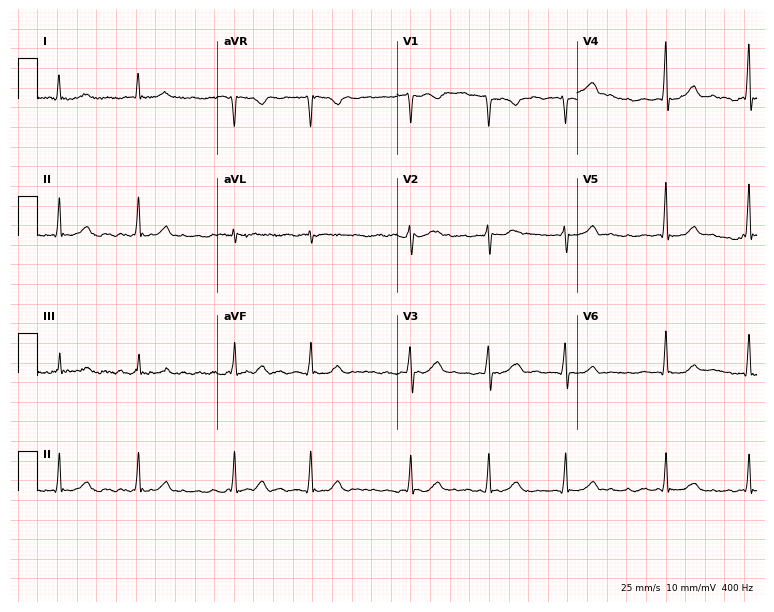
12-lead ECG from a 73-year-old man (7.3-second recording at 400 Hz). Shows atrial fibrillation.